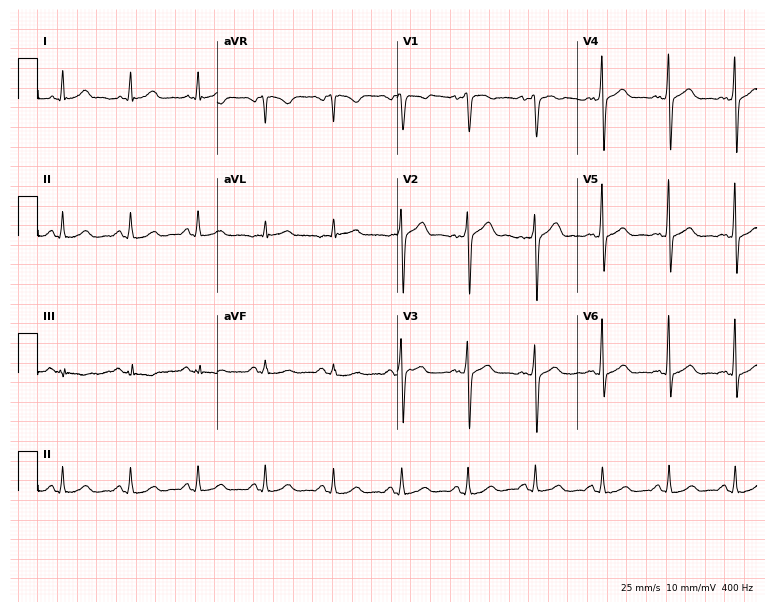
12-lead ECG (7.3-second recording at 400 Hz) from a male patient, 46 years old. Labelled as a normal ECG.